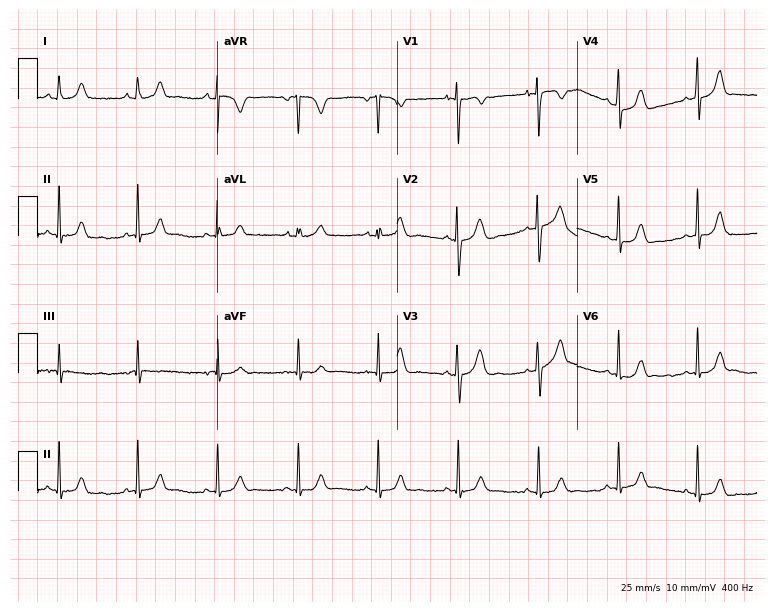
12-lead ECG from an 18-year-old female patient. Recorded interpretation: within normal limits.